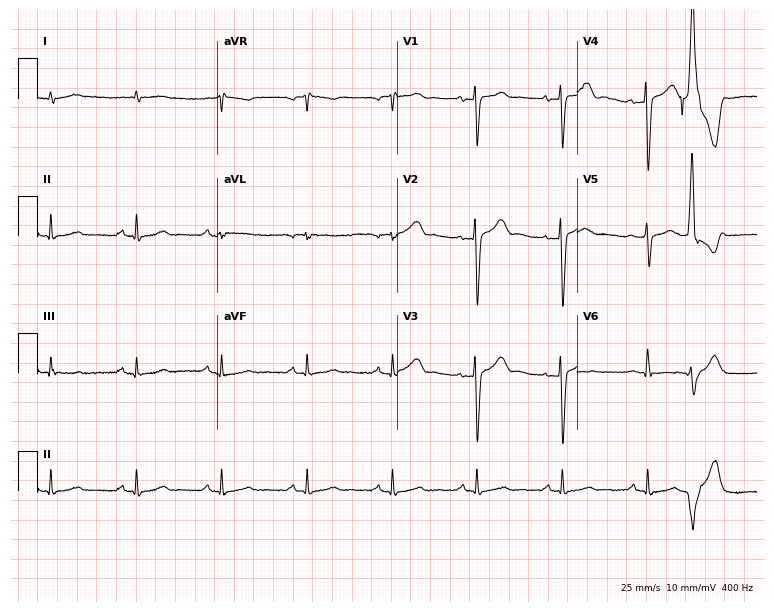
Standard 12-lead ECG recorded from a man, 38 years old. None of these six findings is recorded: first-degree AV block, right bundle branch block (RBBB), left bundle branch block (LBBB), sinus bradycardia, atrial fibrillation (AF), sinus tachycardia.